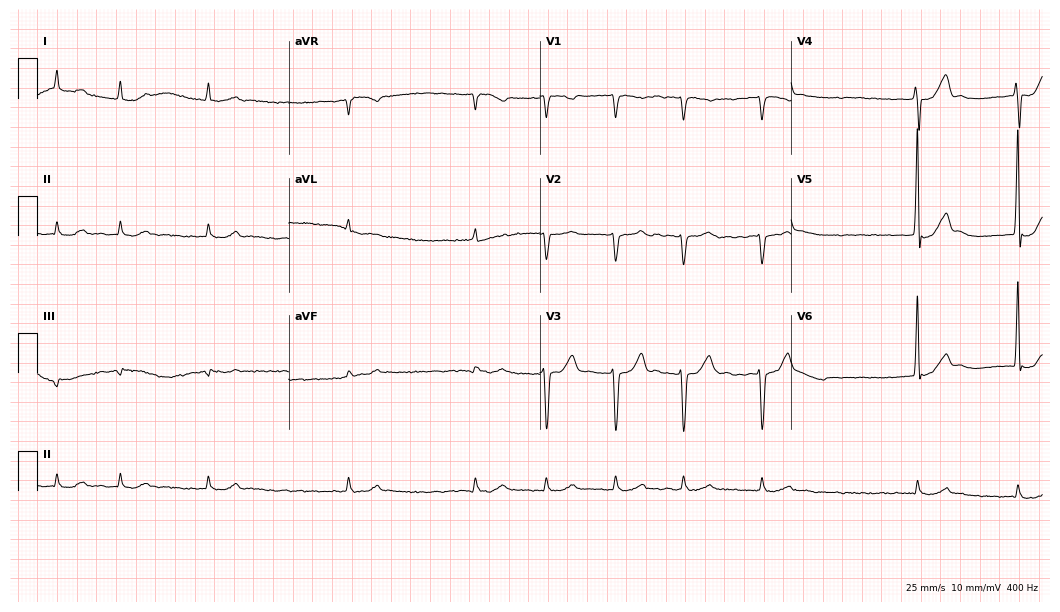
ECG — a 73-year-old man. Screened for six findings — first-degree AV block, right bundle branch block (RBBB), left bundle branch block (LBBB), sinus bradycardia, atrial fibrillation (AF), sinus tachycardia — none is recorded. Only these six findings were labelled.